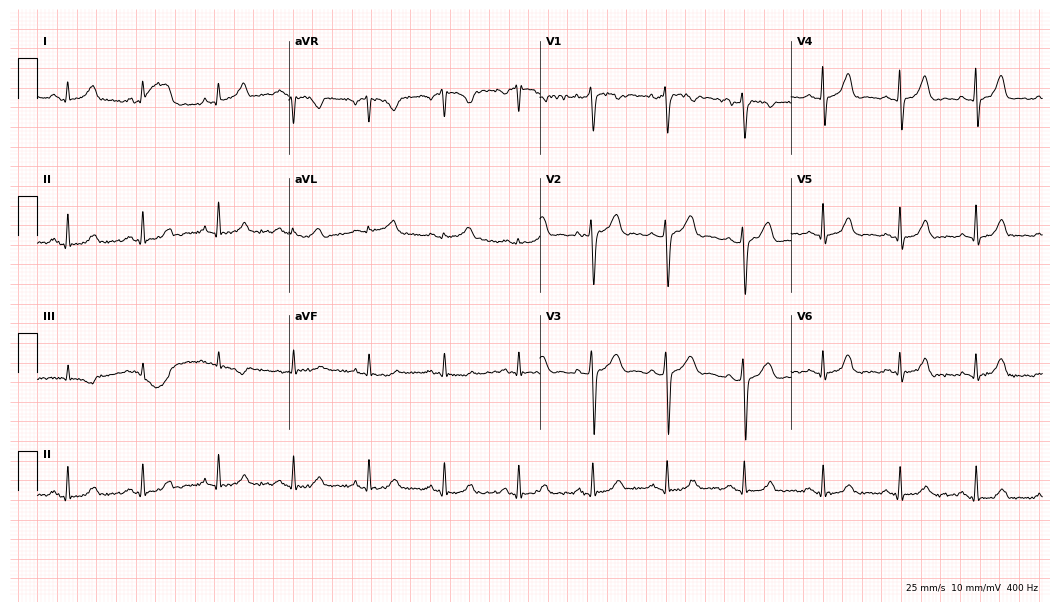
Resting 12-lead electrocardiogram. Patient: a female, 30 years old. Read as a normal ECG.